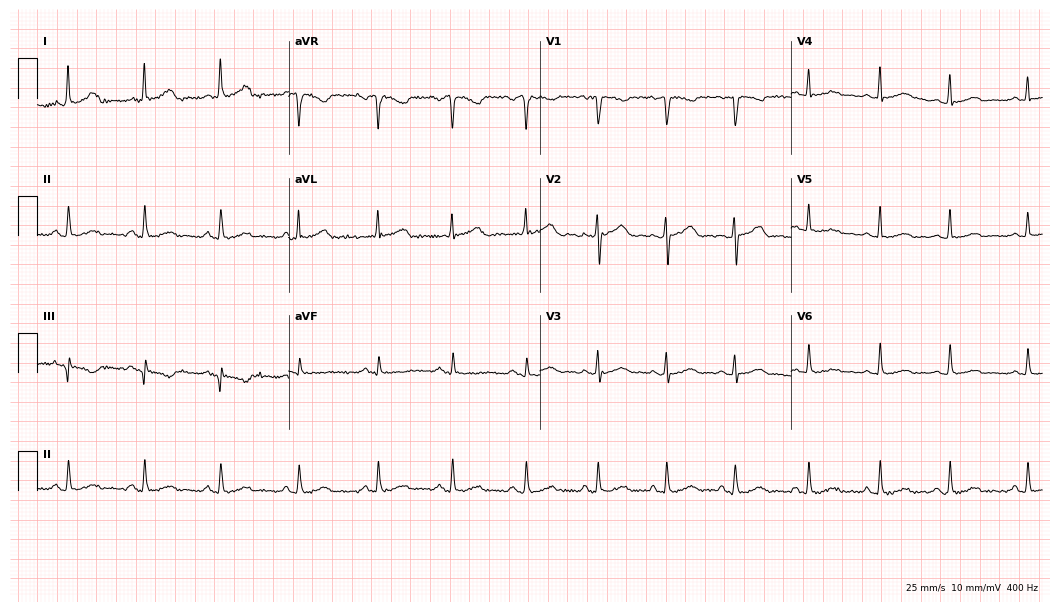
Resting 12-lead electrocardiogram. Patient: a female, 34 years old. None of these six findings is recorded: first-degree AV block, right bundle branch block, left bundle branch block, sinus bradycardia, atrial fibrillation, sinus tachycardia. Findings outside these six are not listed.